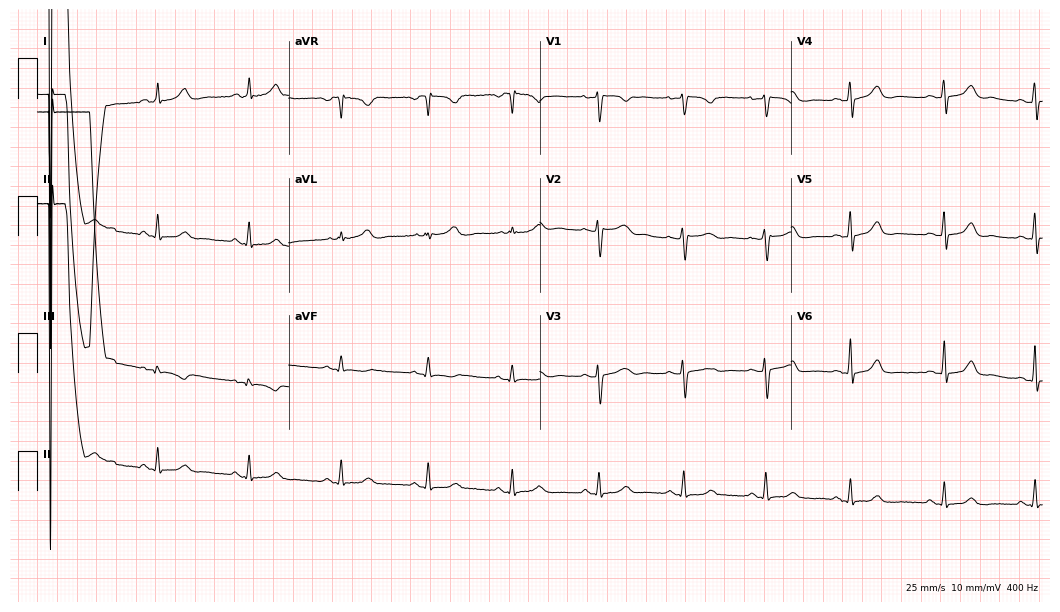
Standard 12-lead ECG recorded from a female, 43 years old. Read as a normal ECG.